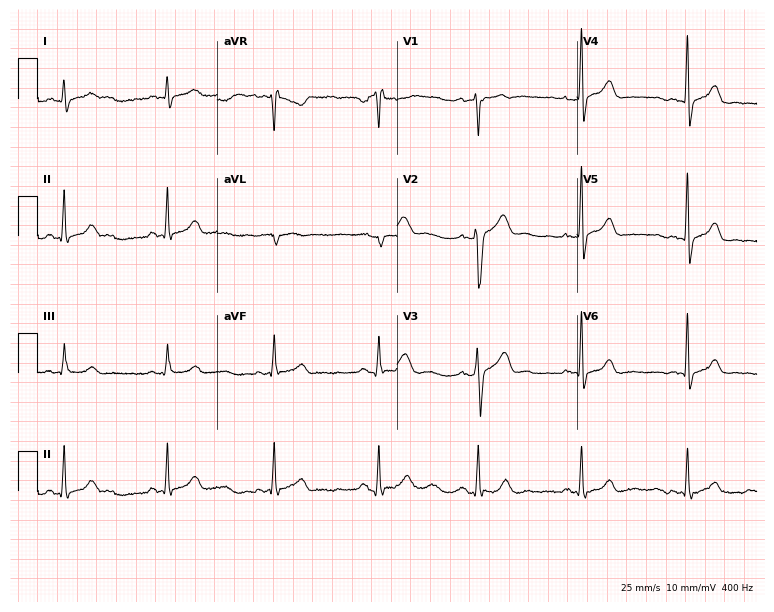
Resting 12-lead electrocardiogram (7.3-second recording at 400 Hz). Patient: a male, 53 years old. None of these six findings is recorded: first-degree AV block, right bundle branch block (RBBB), left bundle branch block (LBBB), sinus bradycardia, atrial fibrillation (AF), sinus tachycardia. Findings outside these six are not listed.